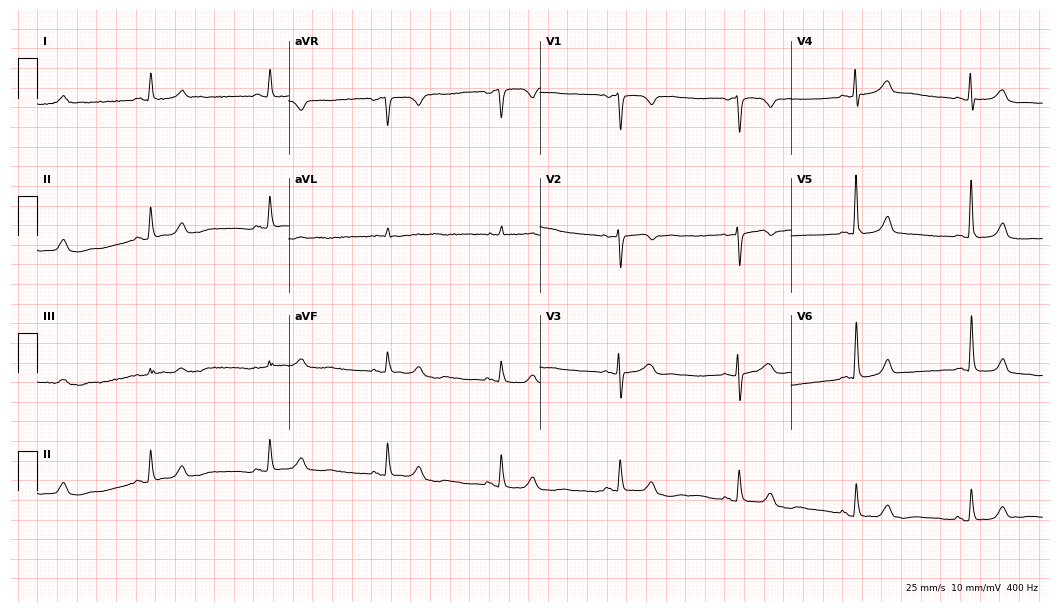
ECG (10.2-second recording at 400 Hz) — a 77-year-old woman. Findings include sinus bradycardia (a sinus rate of 50 beats per minute or less).